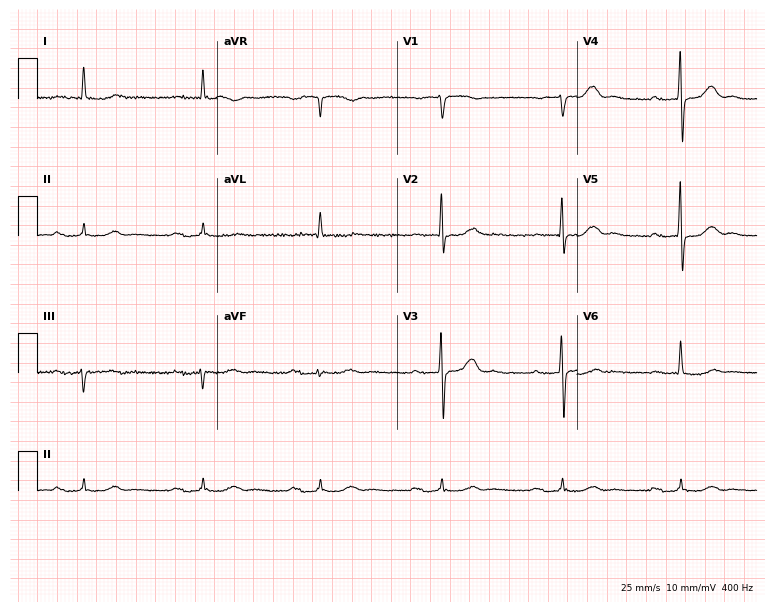
12-lead ECG from a 75-year-old male patient (7.3-second recording at 400 Hz). Shows first-degree AV block.